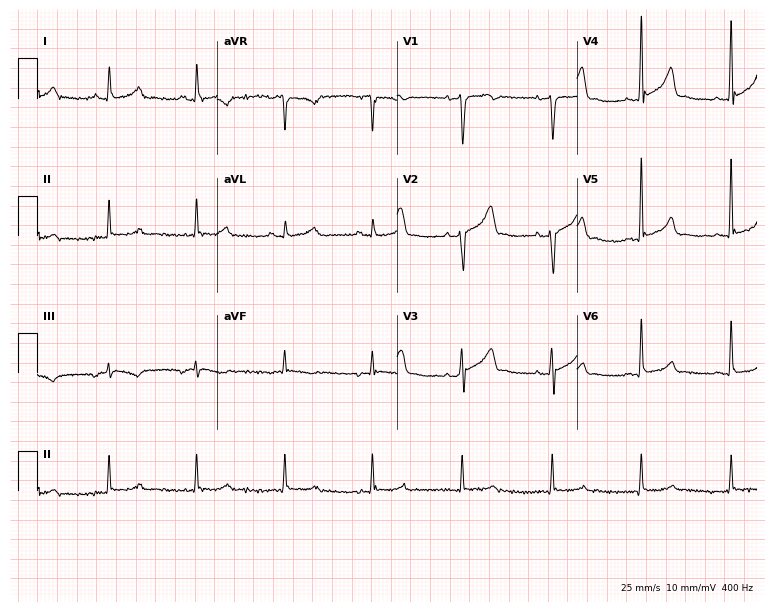
Standard 12-lead ECG recorded from a 57-year-old male patient (7.3-second recording at 400 Hz). None of these six findings is recorded: first-degree AV block, right bundle branch block, left bundle branch block, sinus bradycardia, atrial fibrillation, sinus tachycardia.